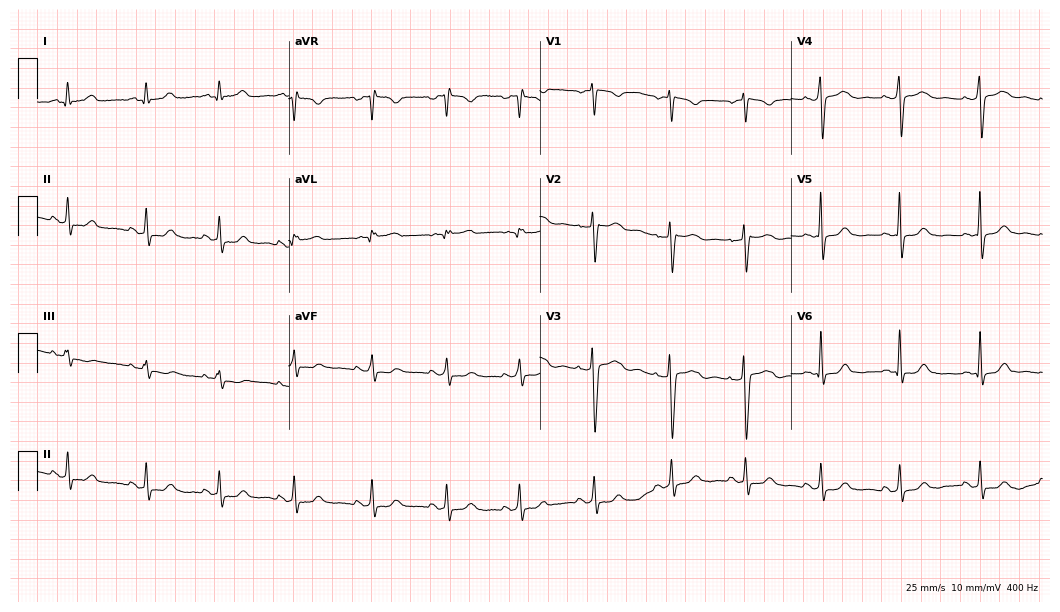
12-lead ECG (10.2-second recording at 400 Hz) from a 38-year-old female. Labelled as a normal ECG.